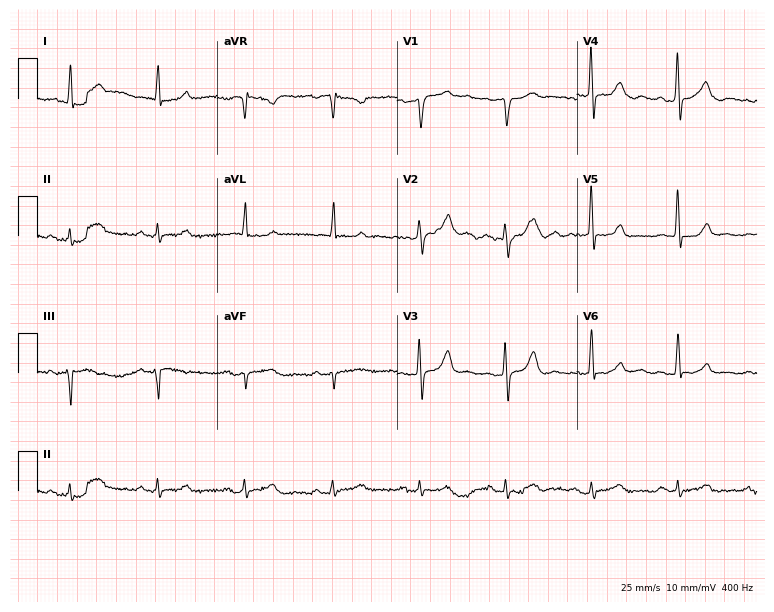
ECG (7.3-second recording at 400 Hz) — a male, 76 years old. Screened for six findings — first-degree AV block, right bundle branch block, left bundle branch block, sinus bradycardia, atrial fibrillation, sinus tachycardia — none is recorded. Only these six findings were labelled.